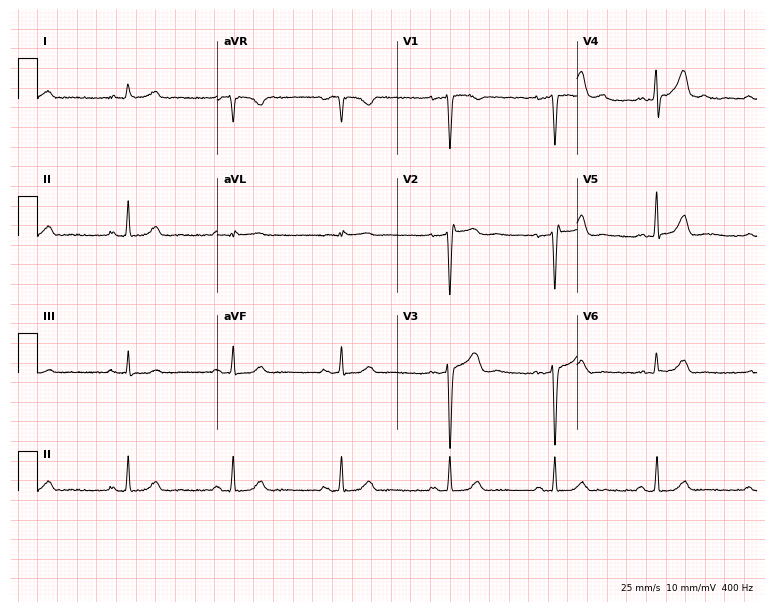
12-lead ECG from a 48-year-old male patient. Labelled as a normal ECG.